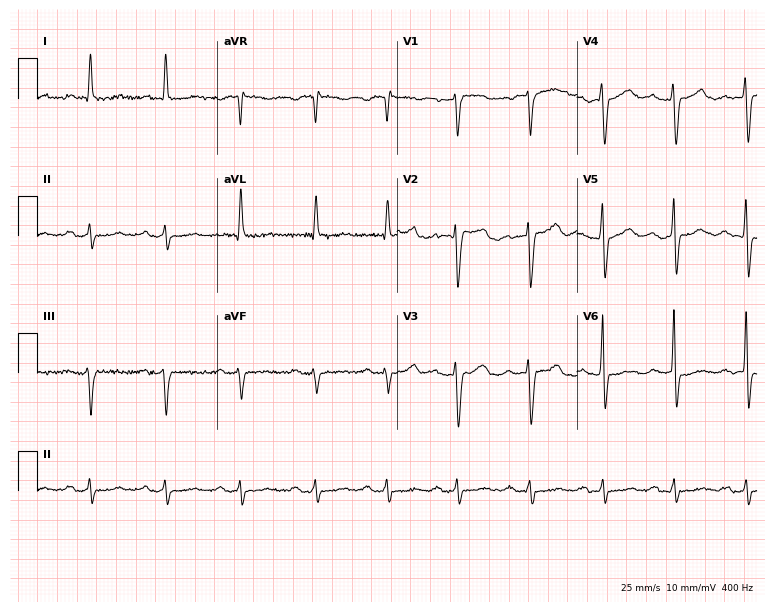
Resting 12-lead electrocardiogram (7.3-second recording at 400 Hz). Patient: a 76-year-old man. None of these six findings is recorded: first-degree AV block, right bundle branch block (RBBB), left bundle branch block (LBBB), sinus bradycardia, atrial fibrillation (AF), sinus tachycardia. Only these six findings were labelled.